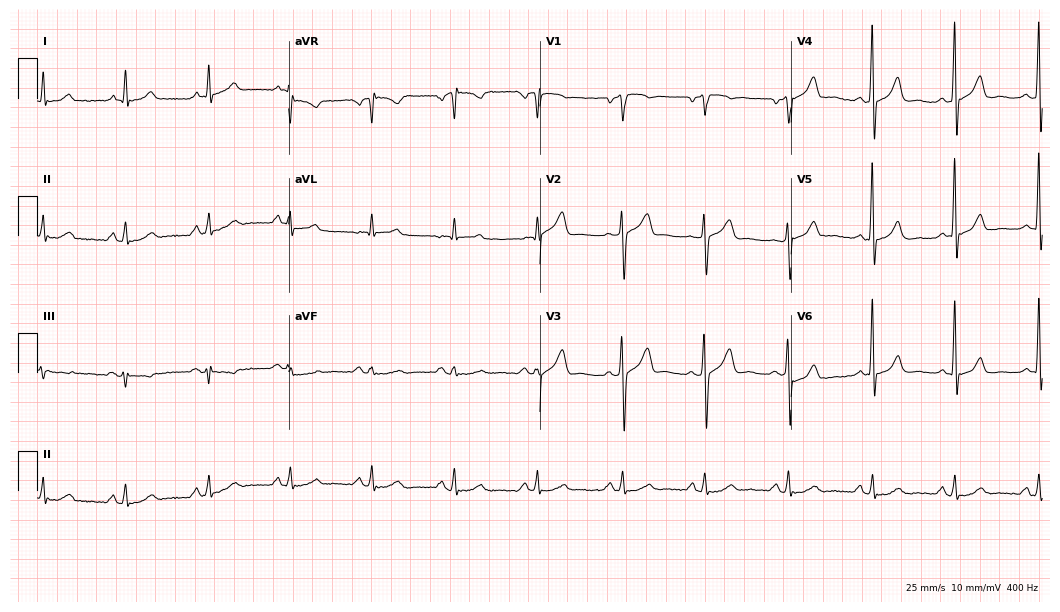
12-lead ECG (10.2-second recording at 400 Hz) from a 63-year-old man. Screened for six findings — first-degree AV block, right bundle branch block (RBBB), left bundle branch block (LBBB), sinus bradycardia, atrial fibrillation (AF), sinus tachycardia — none is recorded. Other findings, if any, are not listed.